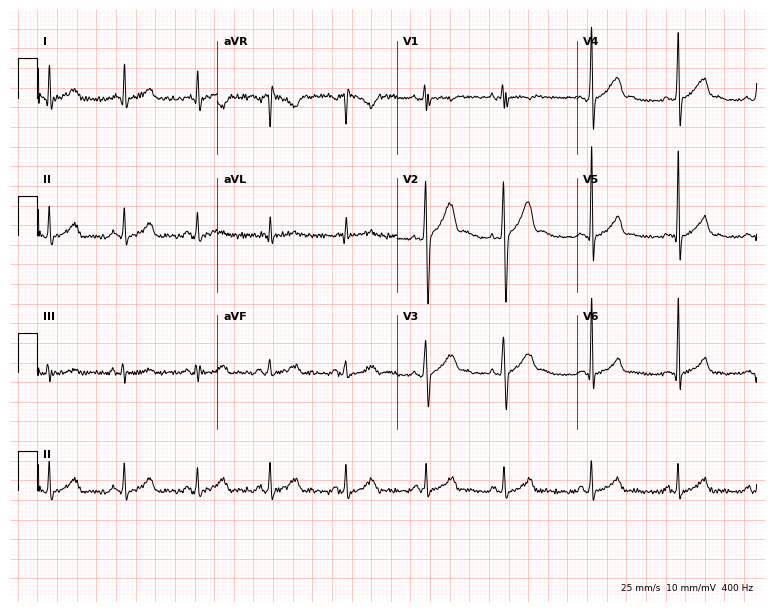
Electrocardiogram (7.3-second recording at 400 Hz), a male, 31 years old. Overall reading on record: normal ECG.